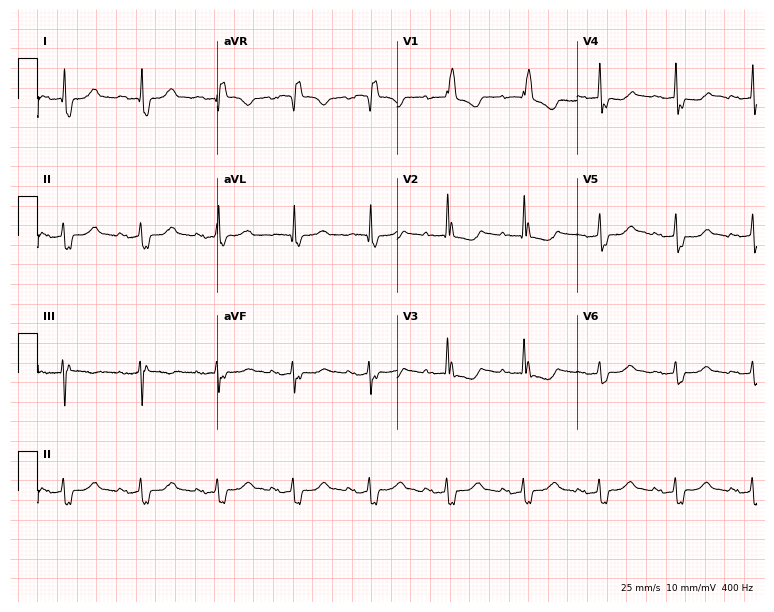
Resting 12-lead electrocardiogram. Patient: a 69-year-old female. The tracing shows first-degree AV block, right bundle branch block (RBBB).